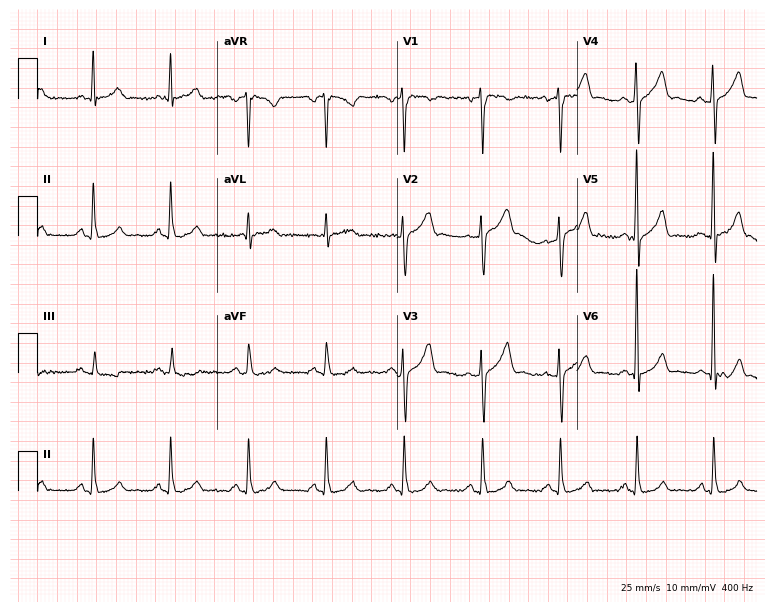
Electrocardiogram, a 46-year-old male patient. Overall reading on record: normal ECG.